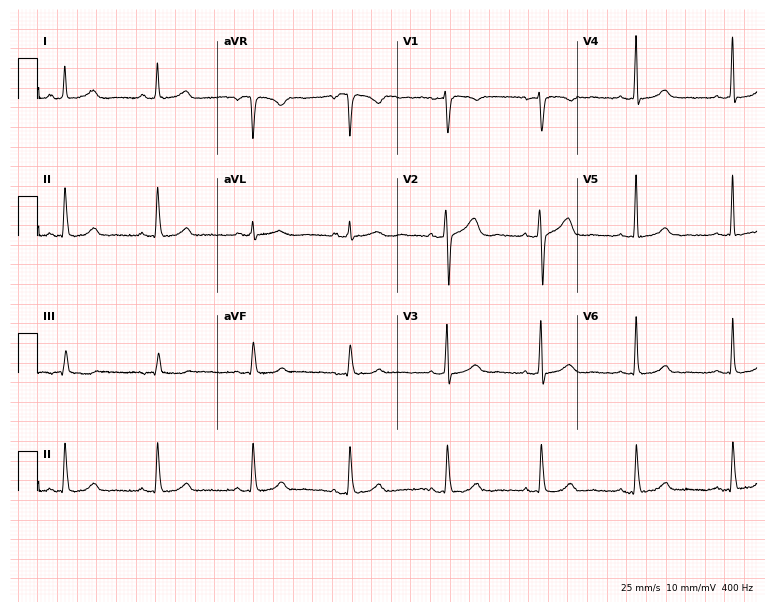
ECG — a 49-year-old female. Labelled as a normal ECG.